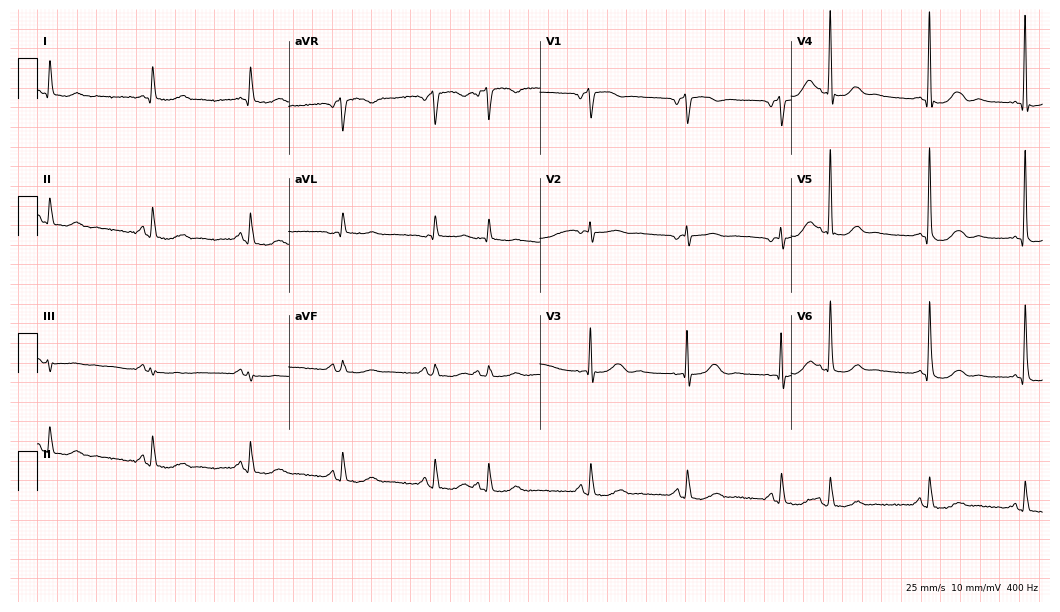
Electrocardiogram, an 80-year-old man. Of the six screened findings (first-degree AV block, right bundle branch block (RBBB), left bundle branch block (LBBB), sinus bradycardia, atrial fibrillation (AF), sinus tachycardia), none is recorded. Other findings, if any, are not listed.